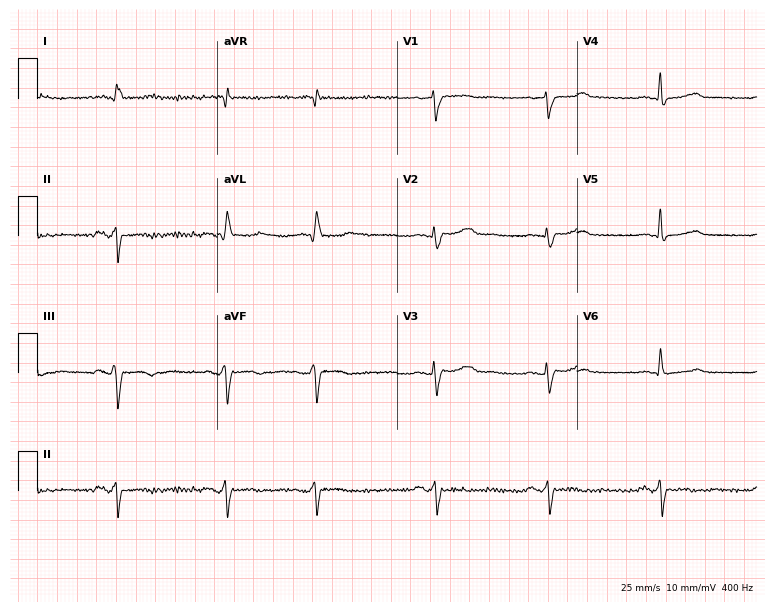
12-lead ECG from a male patient, 68 years old (7.3-second recording at 400 Hz). No first-degree AV block, right bundle branch block, left bundle branch block, sinus bradycardia, atrial fibrillation or sinus tachycardia recorded for this tracing.